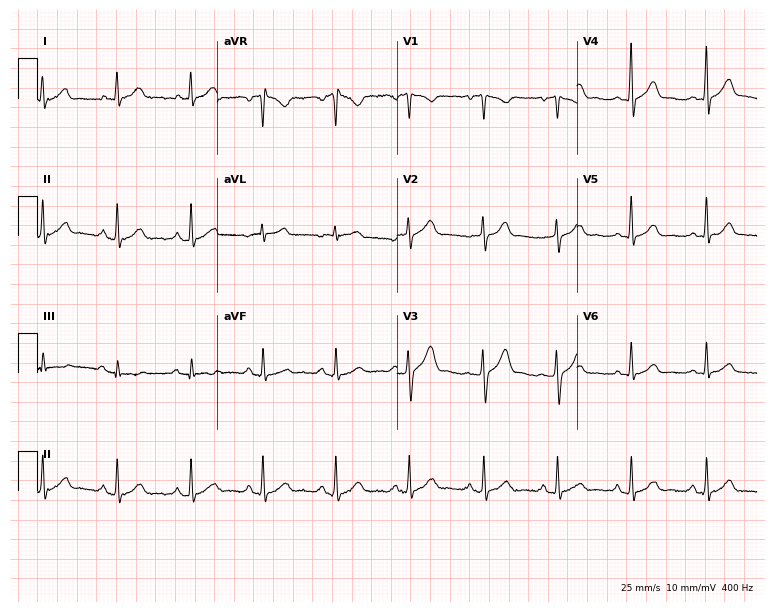
12-lead ECG (7.3-second recording at 400 Hz) from a 39-year-old woman. Screened for six findings — first-degree AV block, right bundle branch block (RBBB), left bundle branch block (LBBB), sinus bradycardia, atrial fibrillation (AF), sinus tachycardia — none is recorded. Only these six findings were labelled.